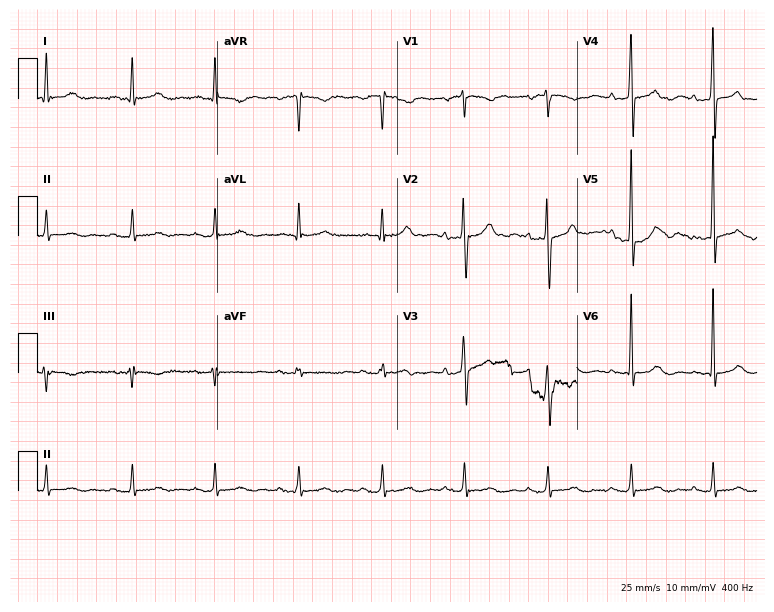
ECG (7.3-second recording at 400 Hz) — a male, 84 years old. Screened for six findings — first-degree AV block, right bundle branch block, left bundle branch block, sinus bradycardia, atrial fibrillation, sinus tachycardia — none is recorded.